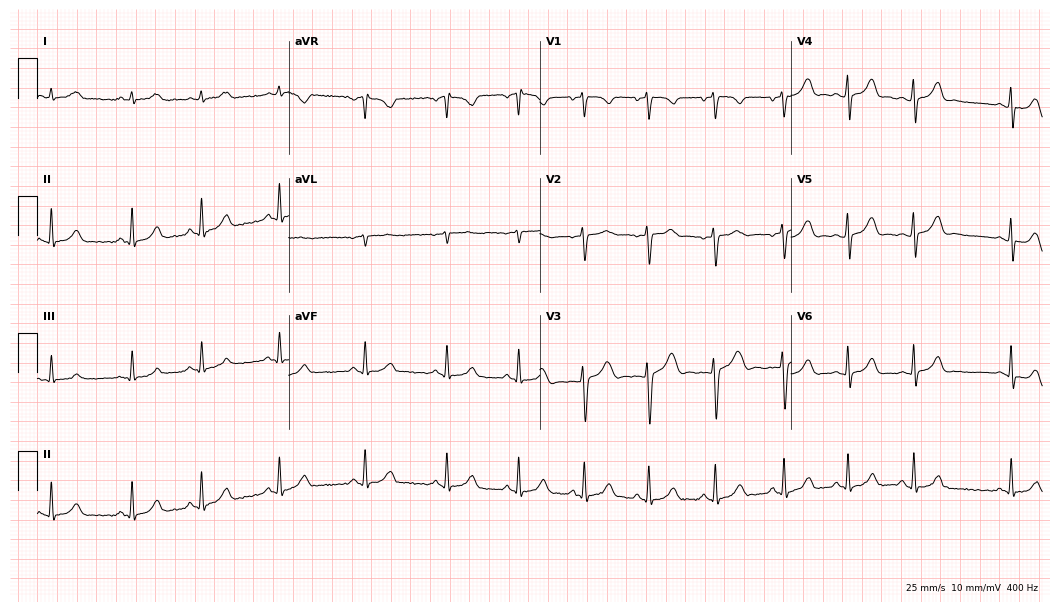
Resting 12-lead electrocardiogram. Patient: a female, 26 years old. None of these six findings is recorded: first-degree AV block, right bundle branch block, left bundle branch block, sinus bradycardia, atrial fibrillation, sinus tachycardia.